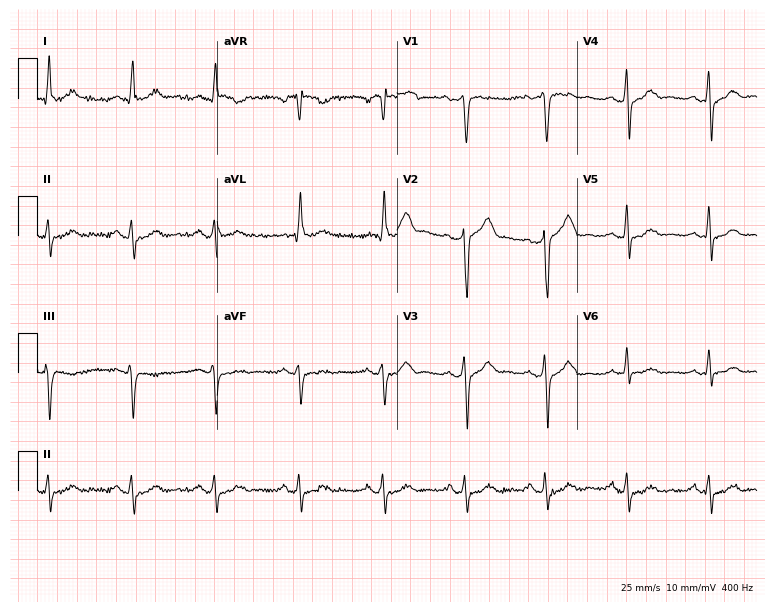
12-lead ECG (7.3-second recording at 400 Hz) from a 51-year-old male. Screened for six findings — first-degree AV block, right bundle branch block (RBBB), left bundle branch block (LBBB), sinus bradycardia, atrial fibrillation (AF), sinus tachycardia — none is recorded. Other findings, if any, are not listed.